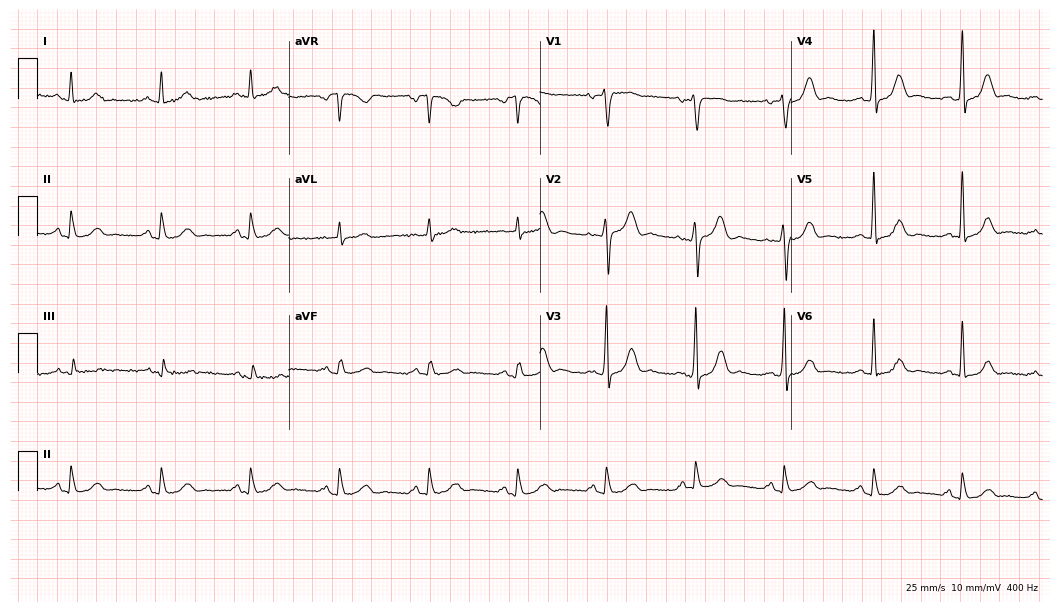
Electrocardiogram (10.2-second recording at 400 Hz), a 65-year-old male. Overall reading on record: normal ECG.